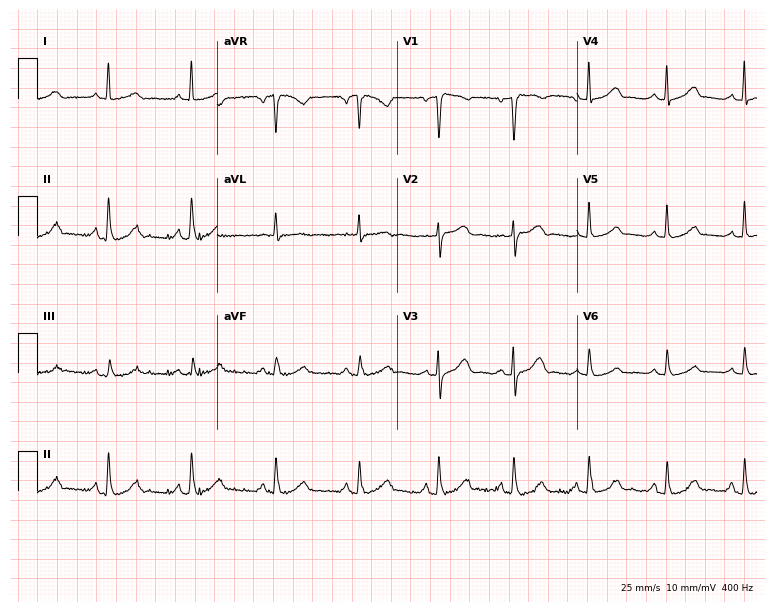
Electrocardiogram, a 57-year-old woman. Overall reading on record: normal ECG.